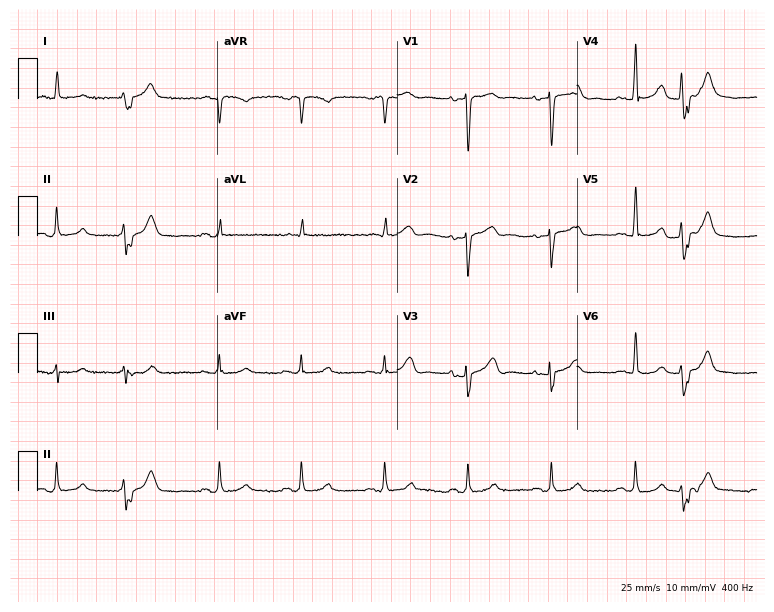
ECG — a female, 82 years old. Screened for six findings — first-degree AV block, right bundle branch block, left bundle branch block, sinus bradycardia, atrial fibrillation, sinus tachycardia — none is recorded. Only these six findings were labelled.